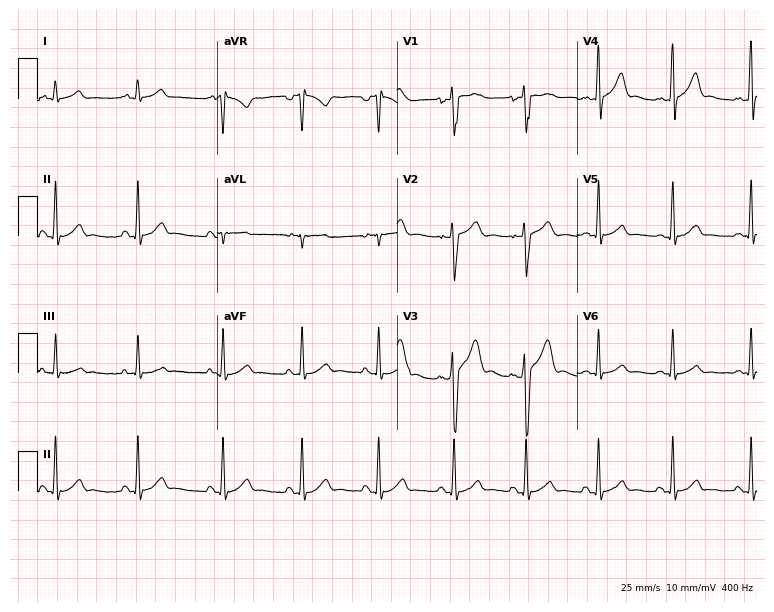
Electrocardiogram, a man, 20 years old. Of the six screened findings (first-degree AV block, right bundle branch block (RBBB), left bundle branch block (LBBB), sinus bradycardia, atrial fibrillation (AF), sinus tachycardia), none is recorded.